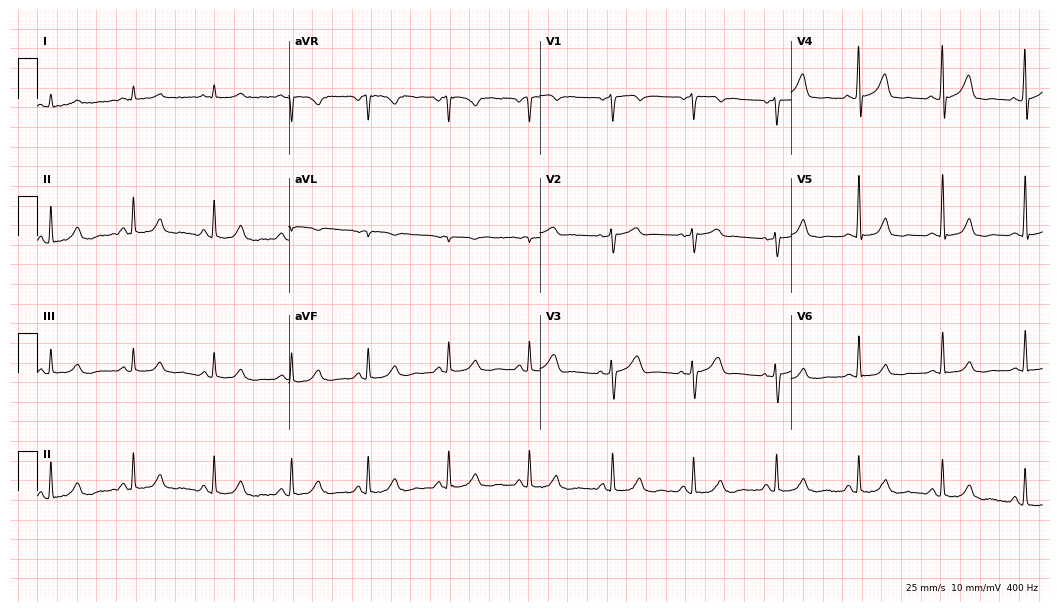
Resting 12-lead electrocardiogram. Patient: a female, 52 years old. None of these six findings is recorded: first-degree AV block, right bundle branch block, left bundle branch block, sinus bradycardia, atrial fibrillation, sinus tachycardia.